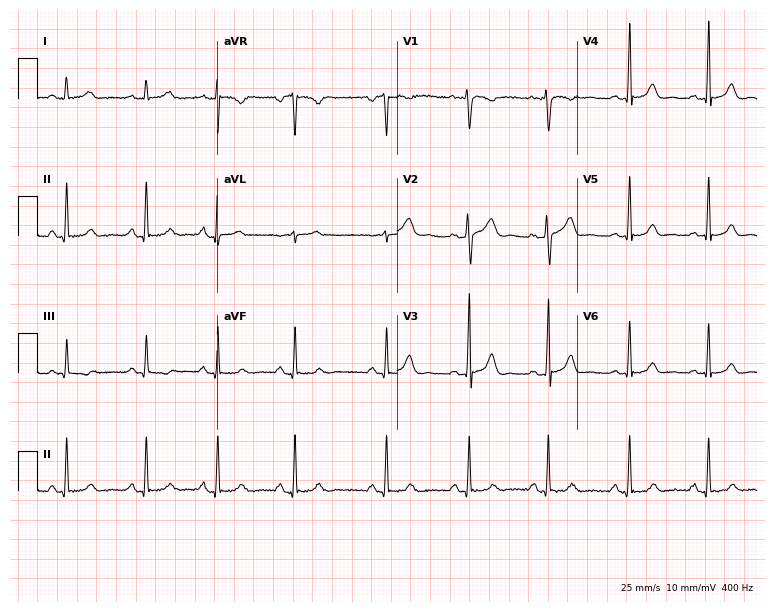
12-lead ECG from a 20-year-old female patient. Recorded interpretation: within normal limits.